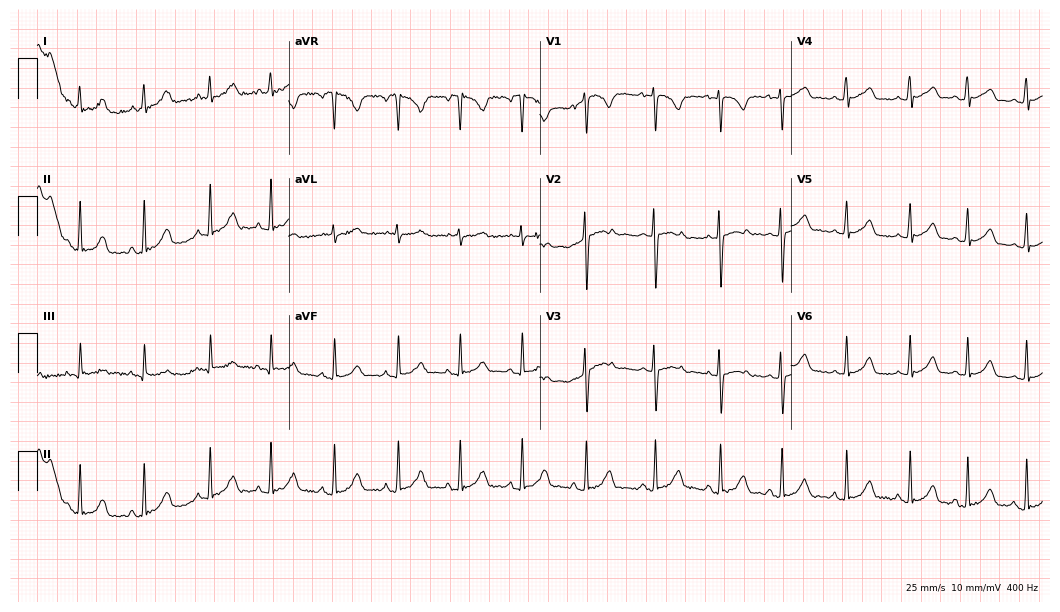
ECG — a female patient, 19 years old. Labelled as a normal ECG.